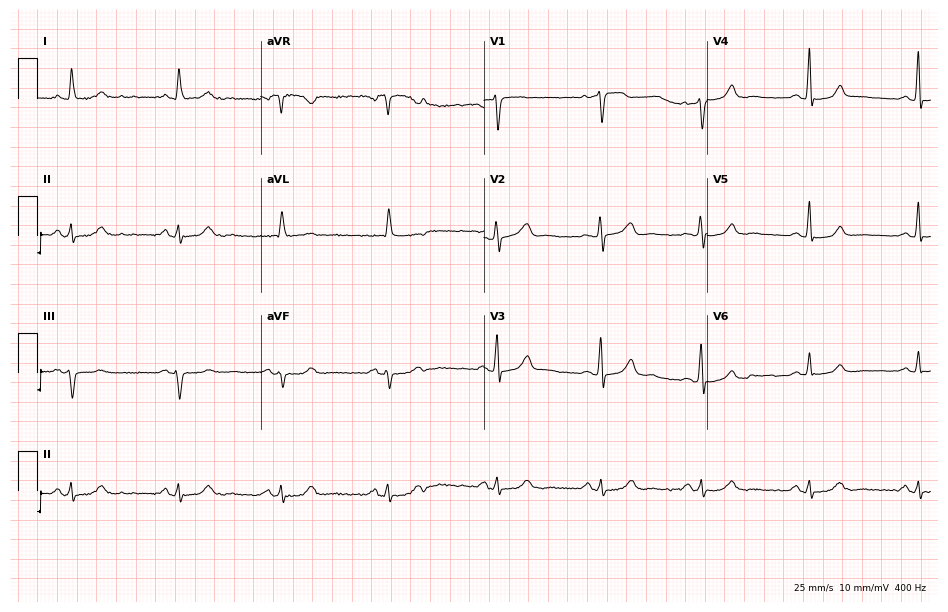
Standard 12-lead ECG recorded from a 69-year-old woman. None of these six findings is recorded: first-degree AV block, right bundle branch block (RBBB), left bundle branch block (LBBB), sinus bradycardia, atrial fibrillation (AF), sinus tachycardia. Only these six findings were labelled.